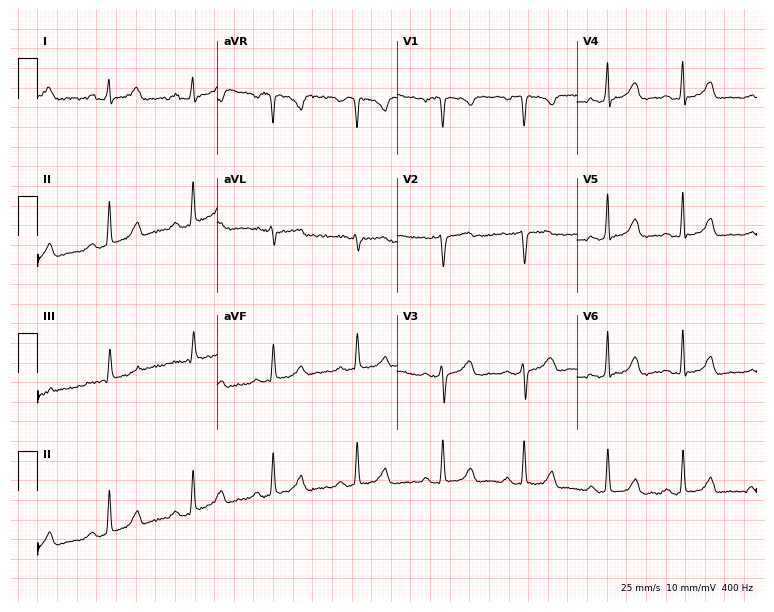
Resting 12-lead electrocardiogram (7.3-second recording at 400 Hz). Patient: a 32-year-old woman. None of these six findings is recorded: first-degree AV block, right bundle branch block, left bundle branch block, sinus bradycardia, atrial fibrillation, sinus tachycardia.